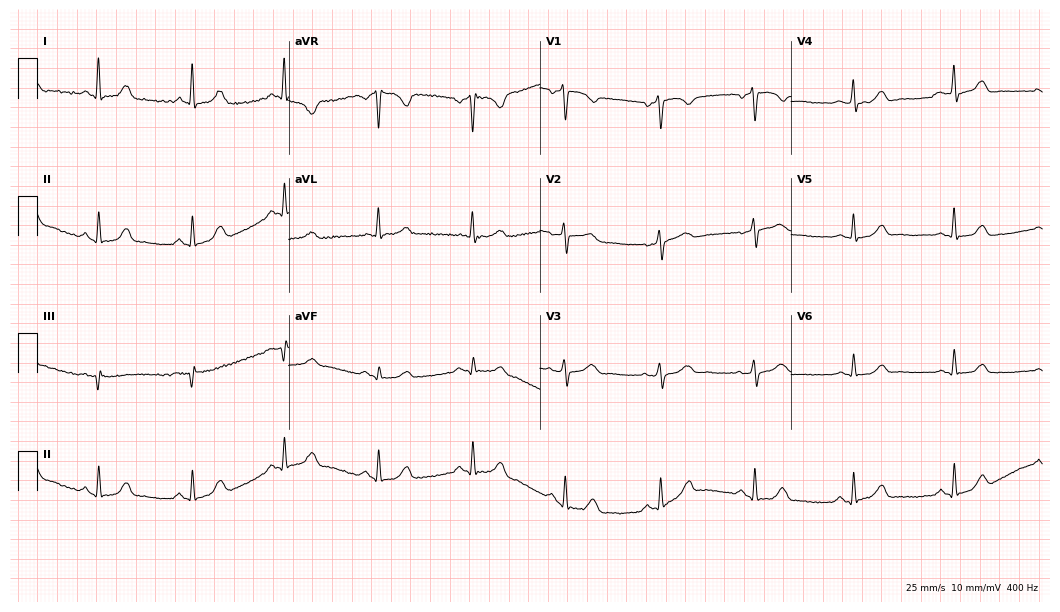
ECG (10.2-second recording at 400 Hz) — a 61-year-old female patient. Labelled as a normal ECG.